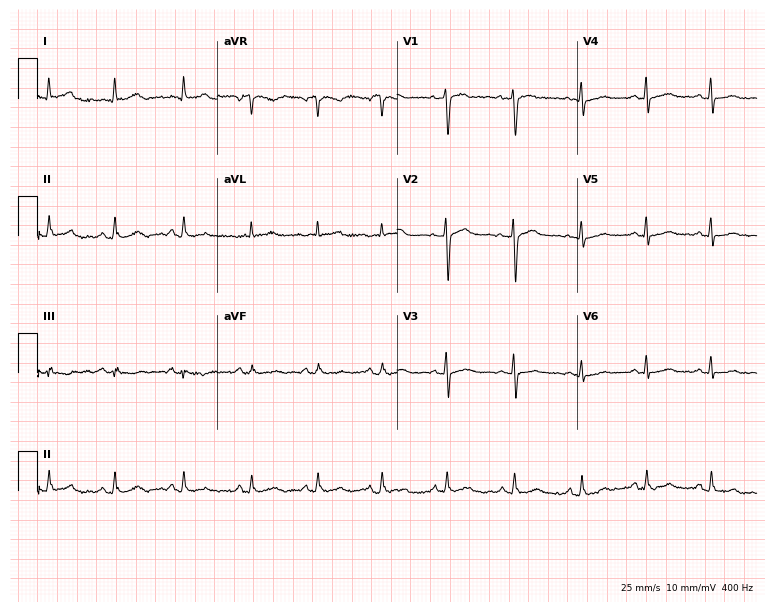
12-lead ECG from a 55-year-old female patient. Recorded interpretation: within normal limits.